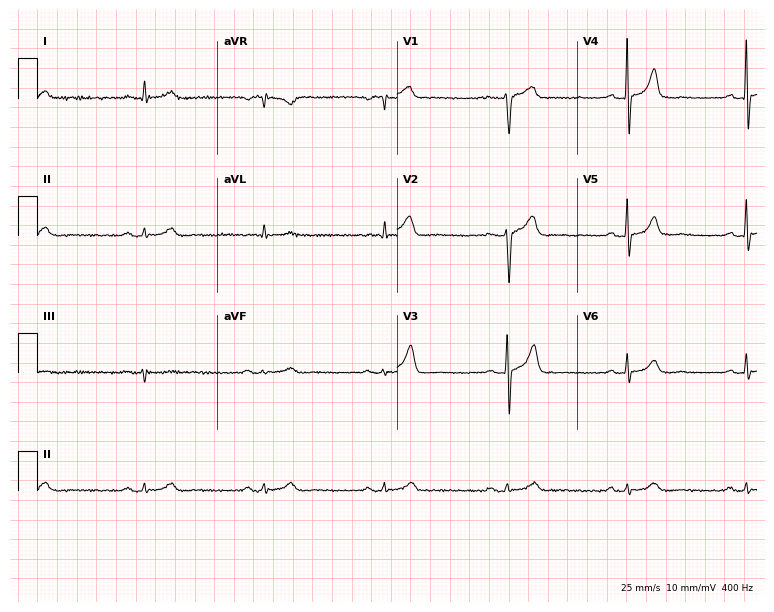
Resting 12-lead electrocardiogram. Patient: a 70-year-old male. The tracing shows sinus bradycardia (a sinus rate of 50 beats per minute or less).